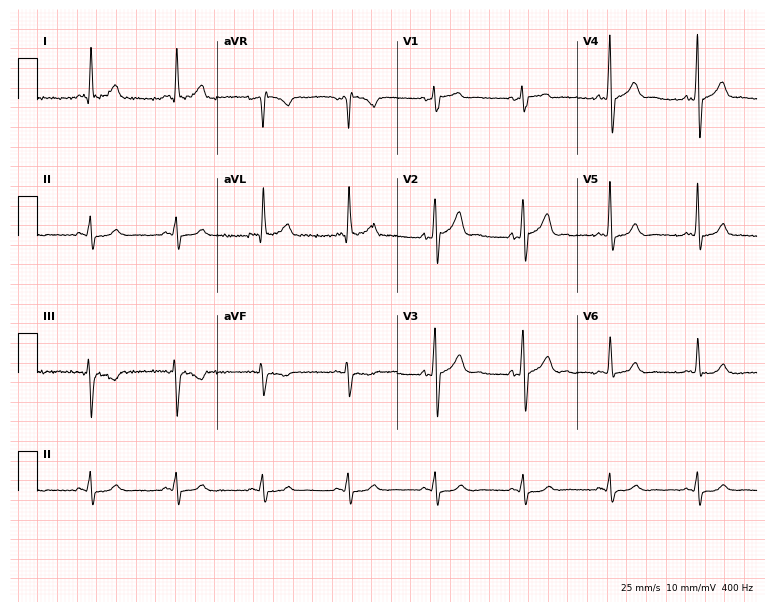
Electrocardiogram (7.3-second recording at 400 Hz), a male patient, 67 years old. Of the six screened findings (first-degree AV block, right bundle branch block, left bundle branch block, sinus bradycardia, atrial fibrillation, sinus tachycardia), none is recorded. Findings outside these six are not listed.